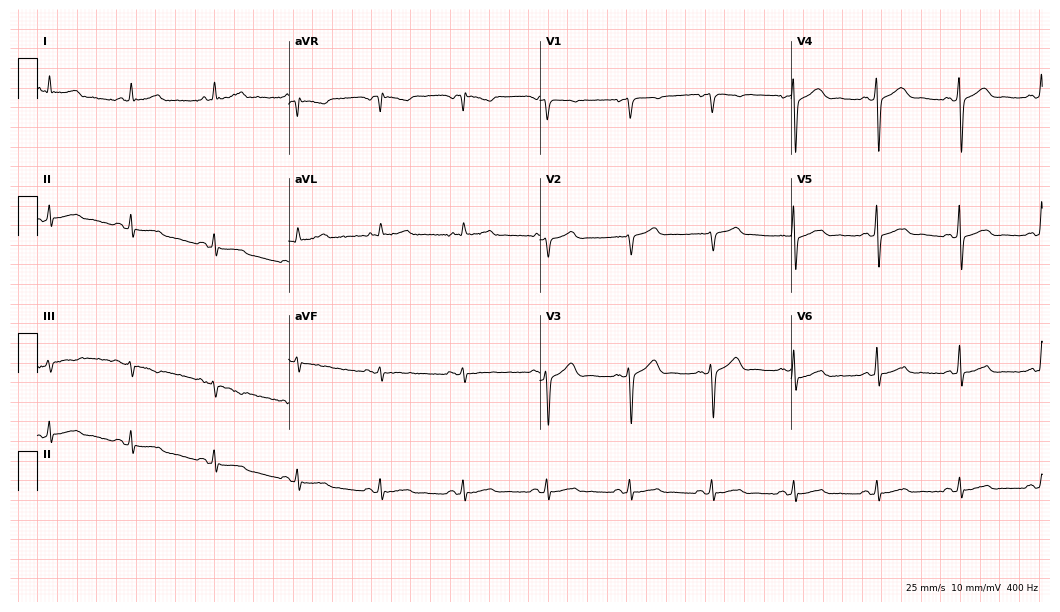
Electrocardiogram (10.2-second recording at 400 Hz), a man, 27 years old. Overall reading on record: normal ECG.